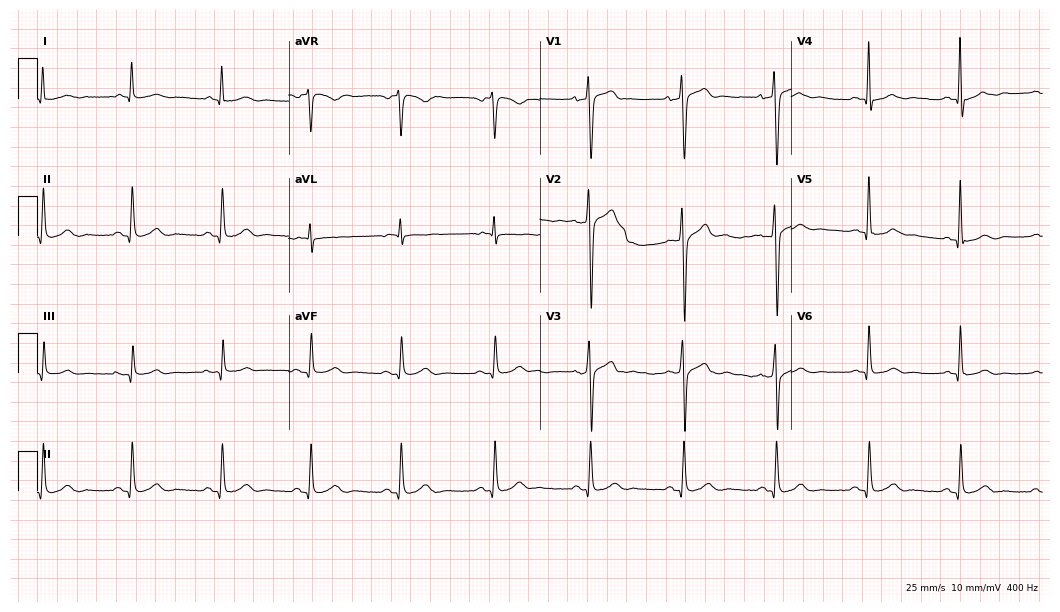
Standard 12-lead ECG recorded from a 54-year-old male patient (10.2-second recording at 400 Hz). Read as a normal ECG.